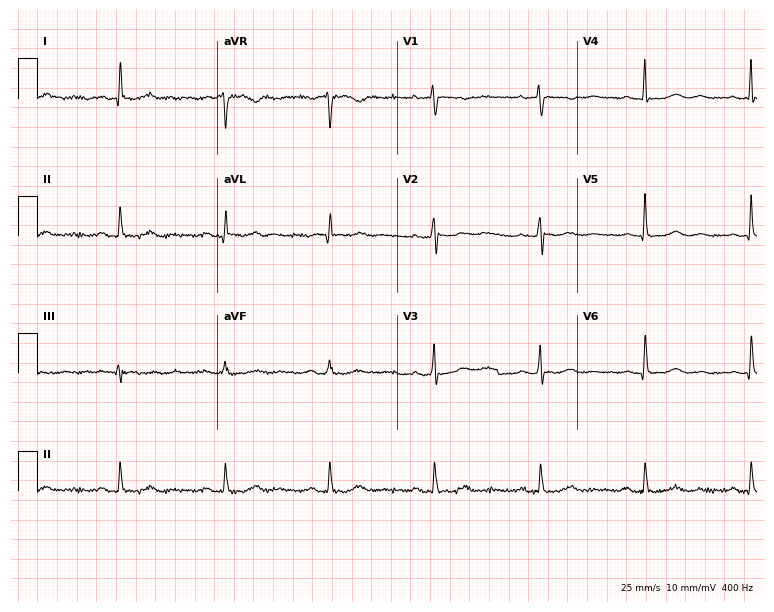
Resting 12-lead electrocardiogram (7.3-second recording at 400 Hz). Patient: a 76-year-old woman. None of these six findings is recorded: first-degree AV block, right bundle branch block, left bundle branch block, sinus bradycardia, atrial fibrillation, sinus tachycardia. Only these six findings were labelled.